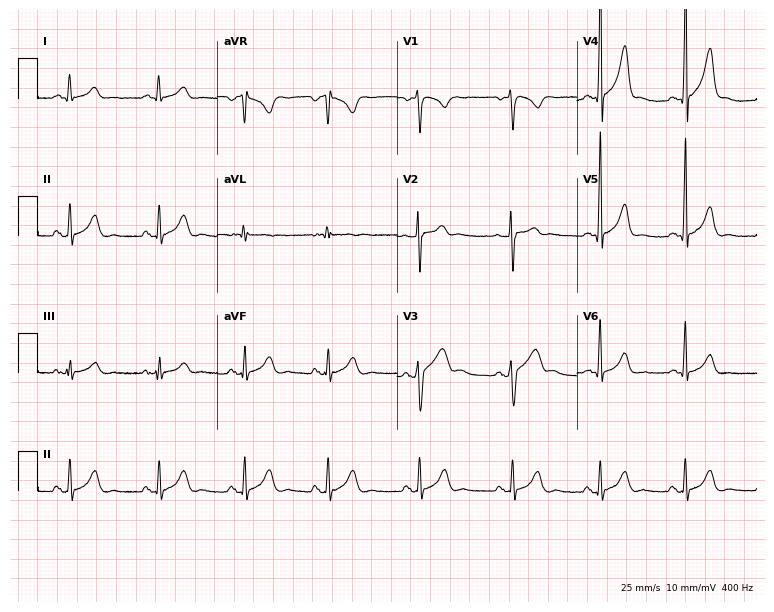
ECG — a 32-year-old male. Labelled as a normal ECG.